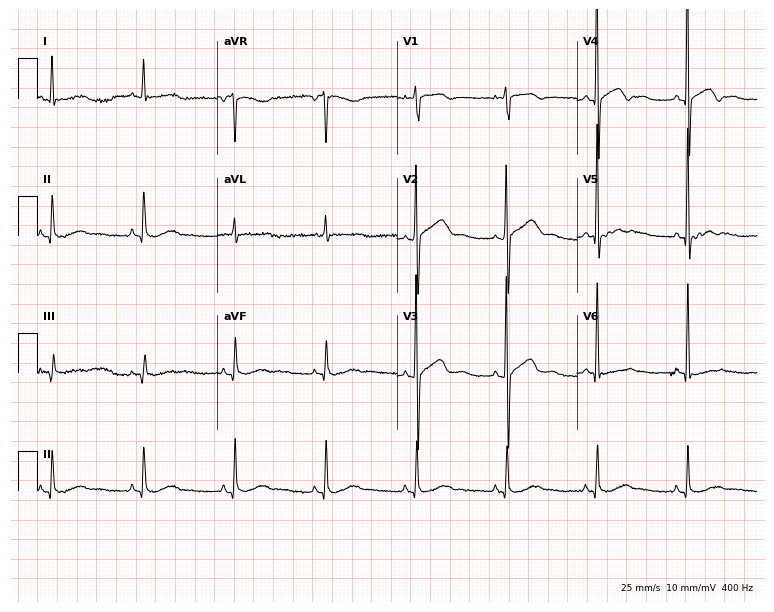
Standard 12-lead ECG recorded from a 71-year-old woman (7.3-second recording at 400 Hz). None of these six findings is recorded: first-degree AV block, right bundle branch block (RBBB), left bundle branch block (LBBB), sinus bradycardia, atrial fibrillation (AF), sinus tachycardia.